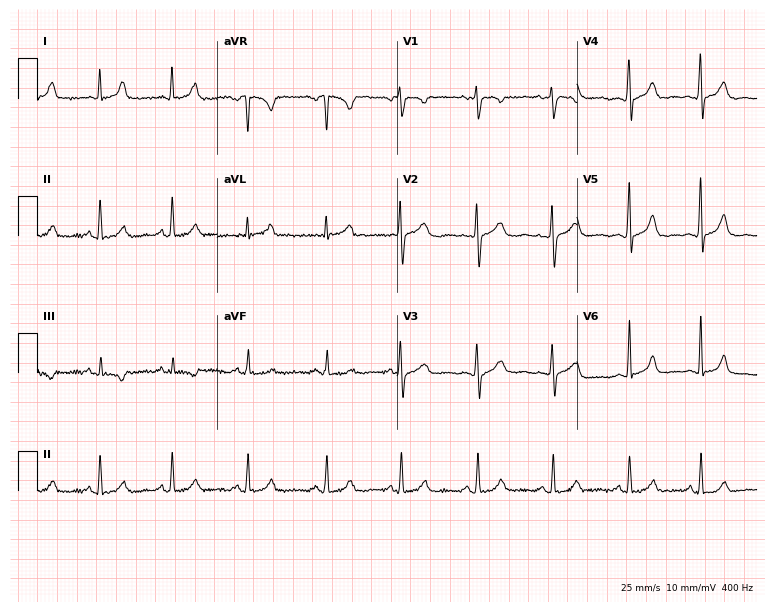
12-lead ECG from a female, 35 years old (7.3-second recording at 400 Hz). No first-degree AV block, right bundle branch block, left bundle branch block, sinus bradycardia, atrial fibrillation or sinus tachycardia recorded for this tracing.